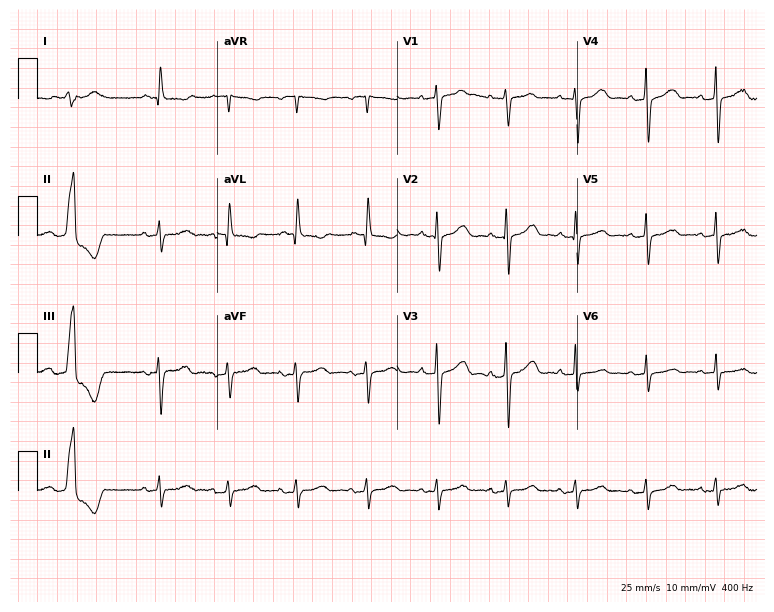
ECG — a 79-year-old female patient. Screened for six findings — first-degree AV block, right bundle branch block, left bundle branch block, sinus bradycardia, atrial fibrillation, sinus tachycardia — none is recorded. Only these six findings were labelled.